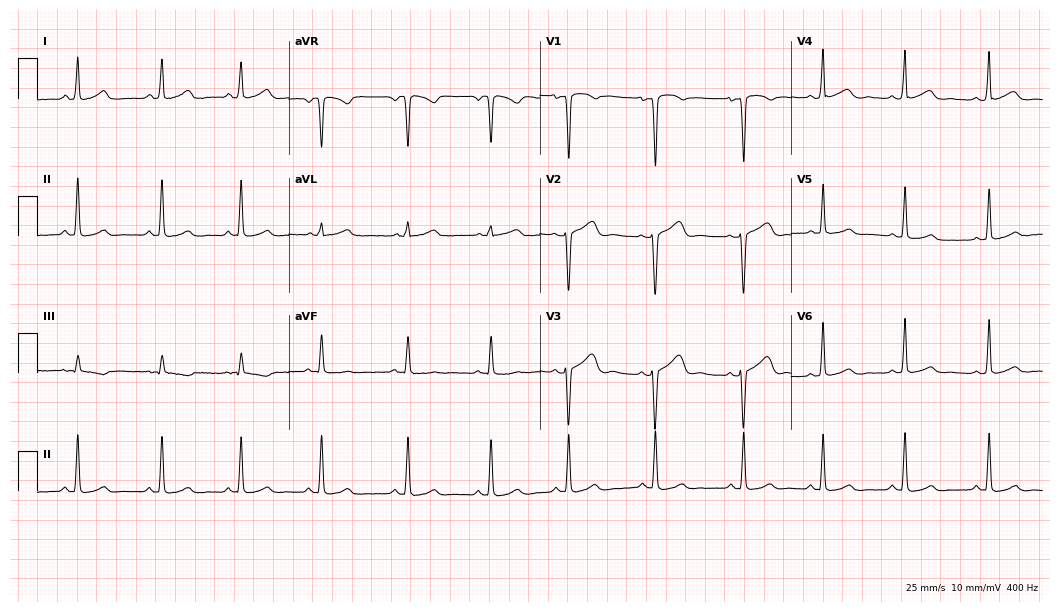
12-lead ECG from a female, 22 years old. Screened for six findings — first-degree AV block, right bundle branch block (RBBB), left bundle branch block (LBBB), sinus bradycardia, atrial fibrillation (AF), sinus tachycardia — none is recorded.